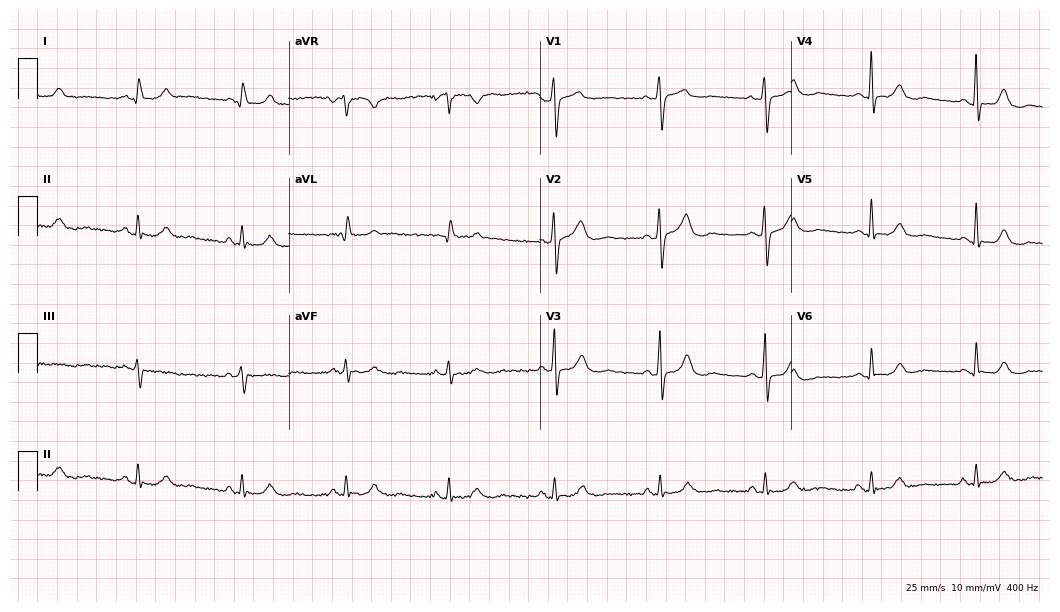
Resting 12-lead electrocardiogram. Patient: a woman, 58 years old. Read as a normal ECG.